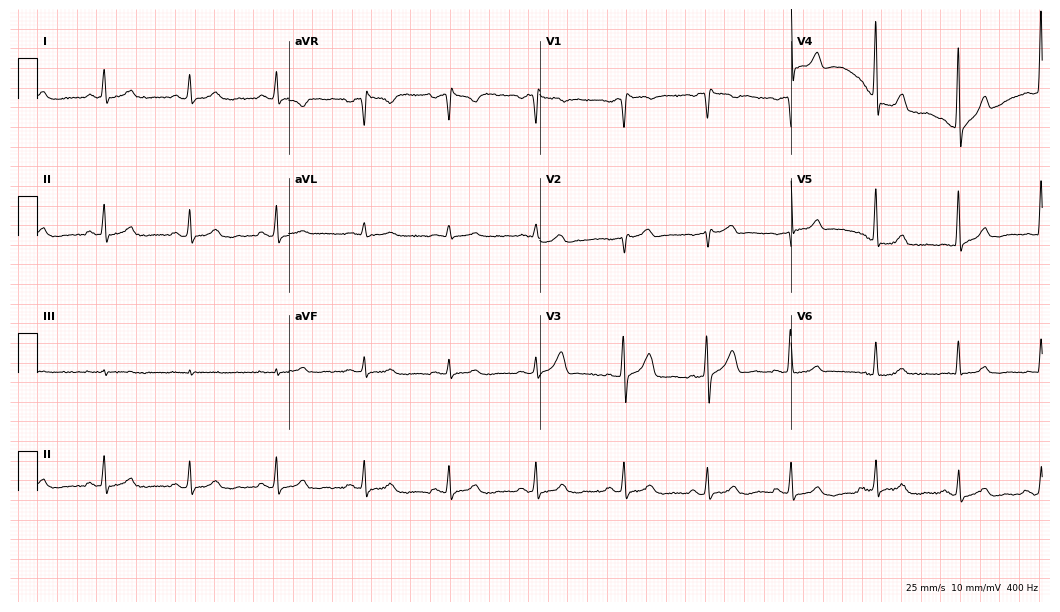
12-lead ECG (10.2-second recording at 400 Hz) from a man, 55 years old. Labelled as a normal ECG.